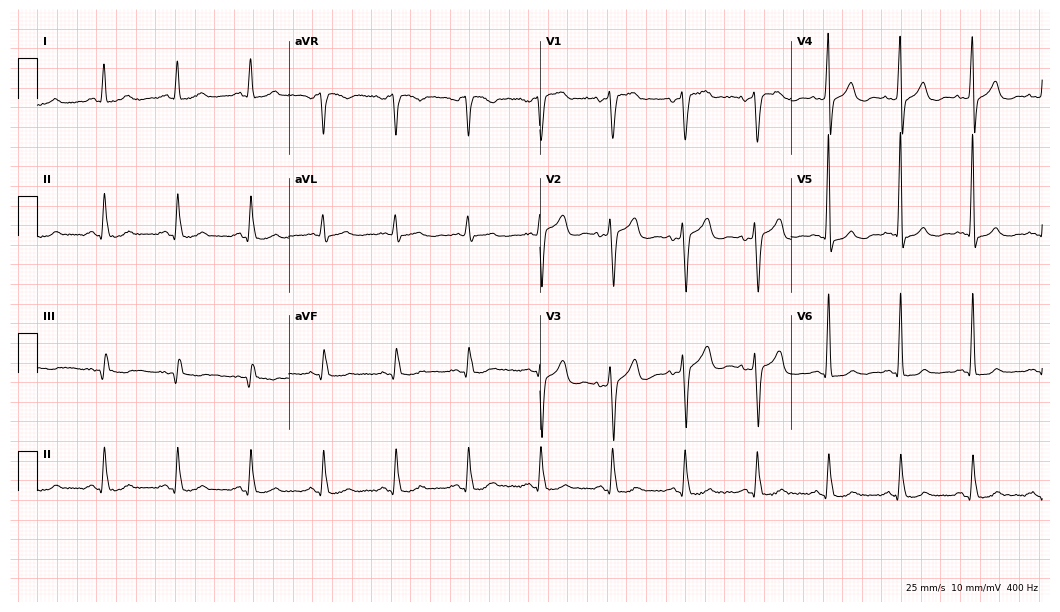
ECG (10.2-second recording at 400 Hz) — a 53-year-old female. Screened for six findings — first-degree AV block, right bundle branch block, left bundle branch block, sinus bradycardia, atrial fibrillation, sinus tachycardia — none is recorded.